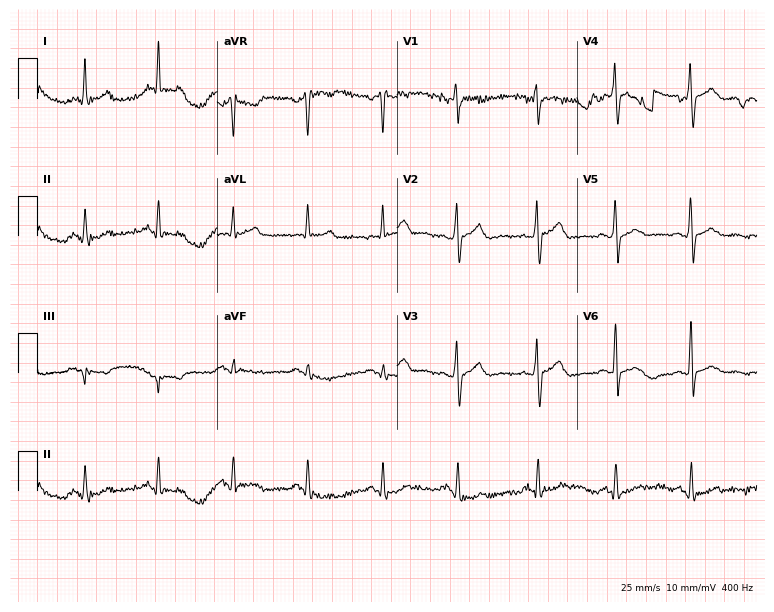
Standard 12-lead ECG recorded from a male, 28 years old (7.3-second recording at 400 Hz). None of these six findings is recorded: first-degree AV block, right bundle branch block, left bundle branch block, sinus bradycardia, atrial fibrillation, sinus tachycardia. Other findings, if any, are not listed.